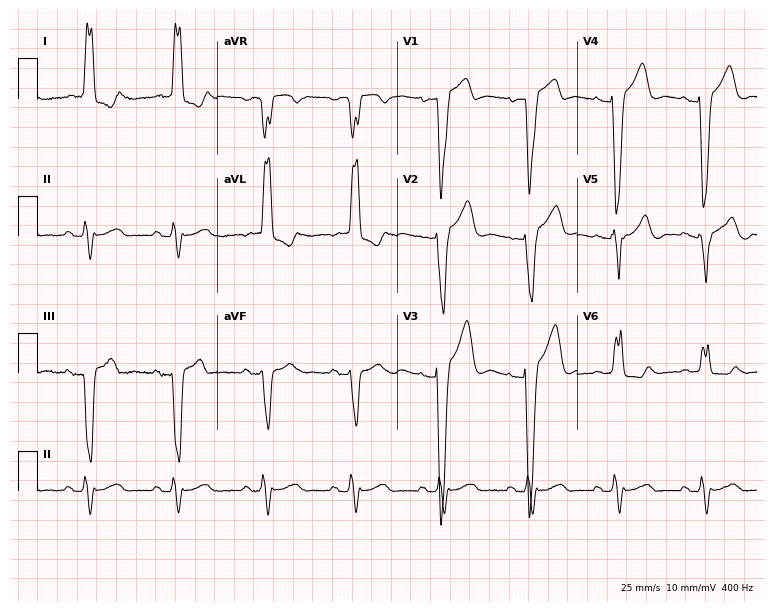
Standard 12-lead ECG recorded from an 81-year-old female patient. The tracing shows left bundle branch block (LBBB).